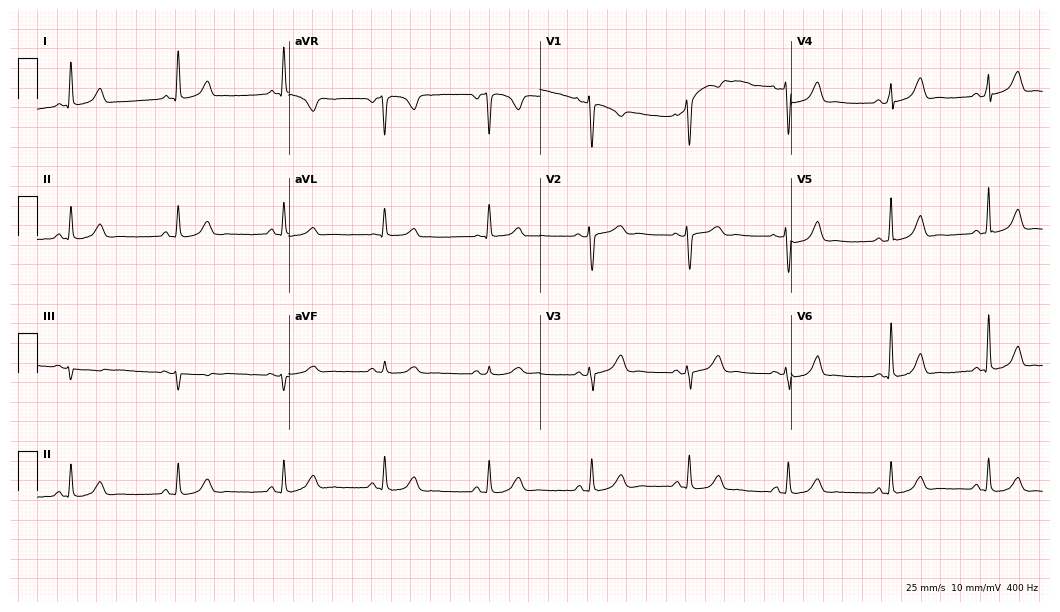
Resting 12-lead electrocardiogram (10.2-second recording at 400 Hz). Patient: a 51-year-old woman. Read as a normal ECG.